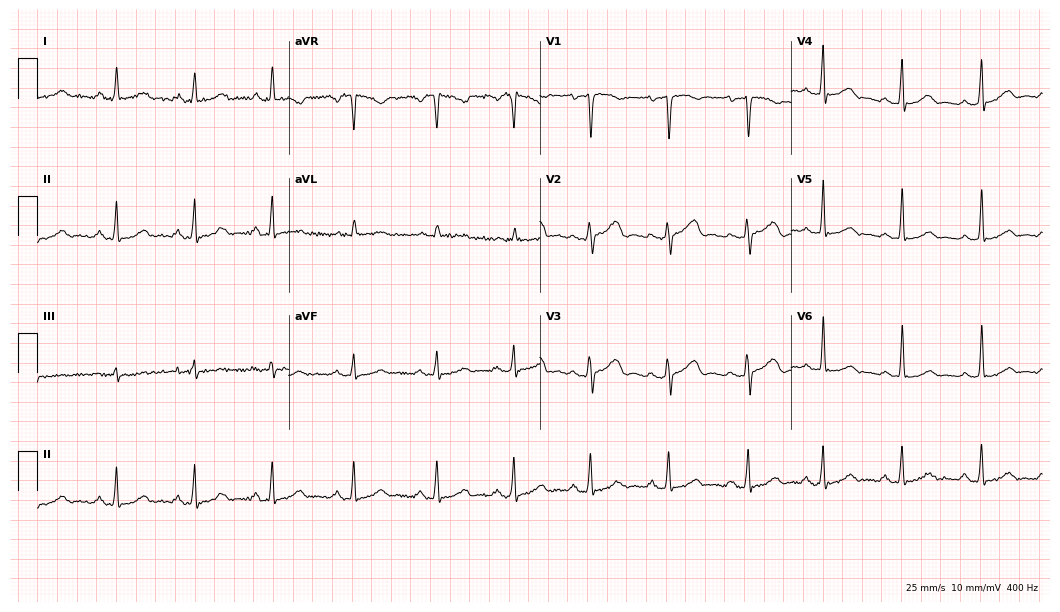
Resting 12-lead electrocardiogram (10.2-second recording at 400 Hz). Patient: a 36-year-old female. Read as a normal ECG.